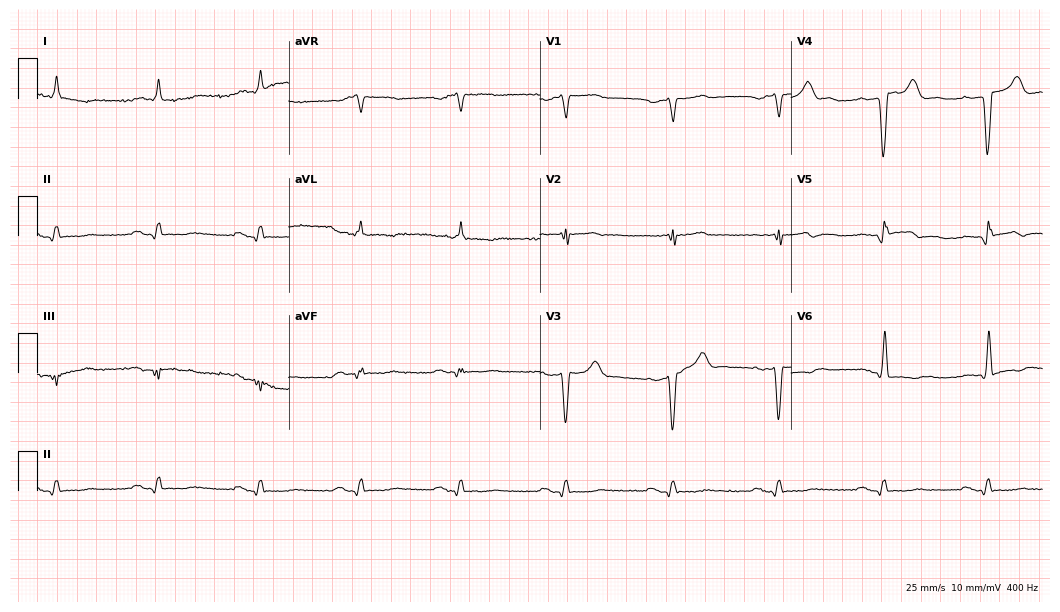
ECG — a 76-year-old man. Screened for six findings — first-degree AV block, right bundle branch block, left bundle branch block, sinus bradycardia, atrial fibrillation, sinus tachycardia — none is recorded. Only these six findings were labelled.